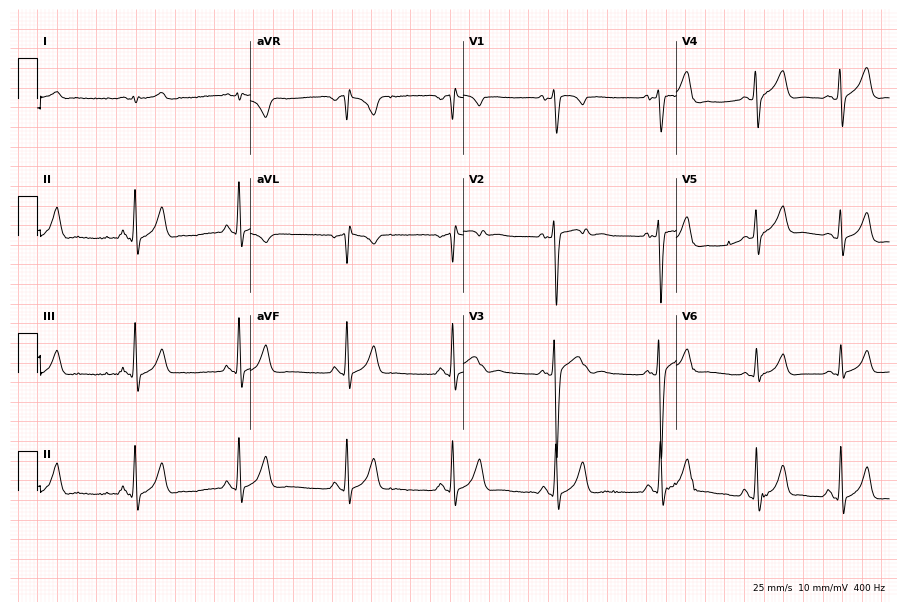
ECG (8.7-second recording at 400 Hz) — a male, 17 years old. Labelled as a normal ECG.